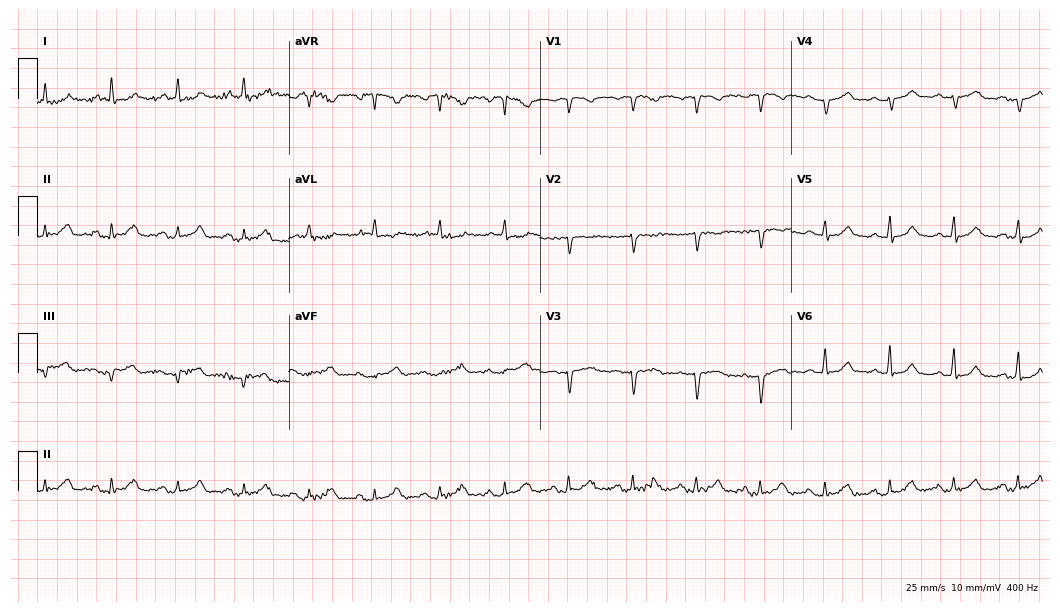
Standard 12-lead ECG recorded from a 67-year-old male patient. None of these six findings is recorded: first-degree AV block, right bundle branch block (RBBB), left bundle branch block (LBBB), sinus bradycardia, atrial fibrillation (AF), sinus tachycardia.